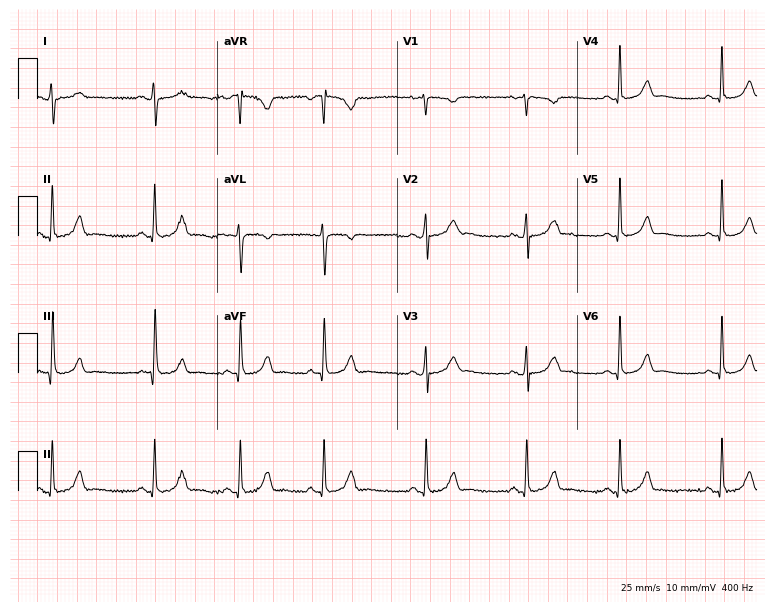
Standard 12-lead ECG recorded from a woman, 21 years old (7.3-second recording at 400 Hz). None of these six findings is recorded: first-degree AV block, right bundle branch block, left bundle branch block, sinus bradycardia, atrial fibrillation, sinus tachycardia.